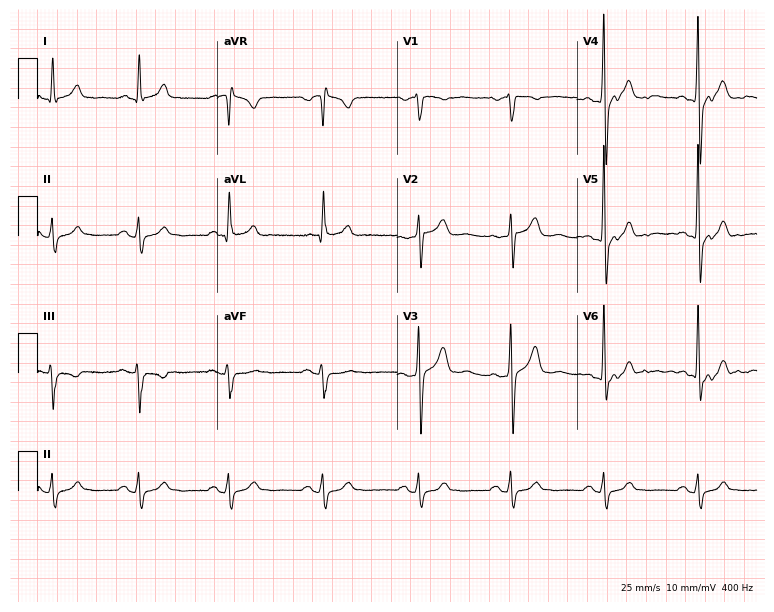
Electrocardiogram (7.3-second recording at 400 Hz), a male, 51 years old. Of the six screened findings (first-degree AV block, right bundle branch block, left bundle branch block, sinus bradycardia, atrial fibrillation, sinus tachycardia), none is recorded.